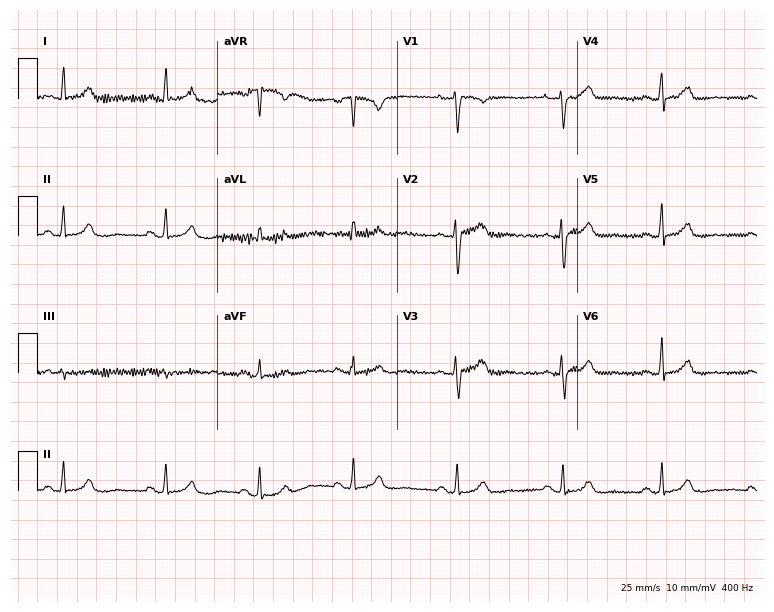
12-lead ECG from a woman, 31 years old. No first-degree AV block, right bundle branch block, left bundle branch block, sinus bradycardia, atrial fibrillation or sinus tachycardia recorded for this tracing. Findings outside these six are not listed.